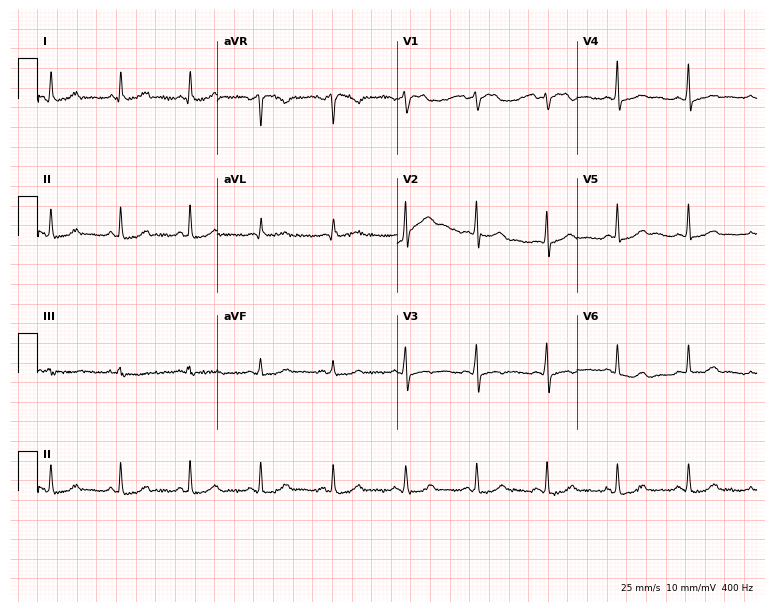
12-lead ECG from a 50-year-old woman. No first-degree AV block, right bundle branch block (RBBB), left bundle branch block (LBBB), sinus bradycardia, atrial fibrillation (AF) or sinus tachycardia recorded for this tracing.